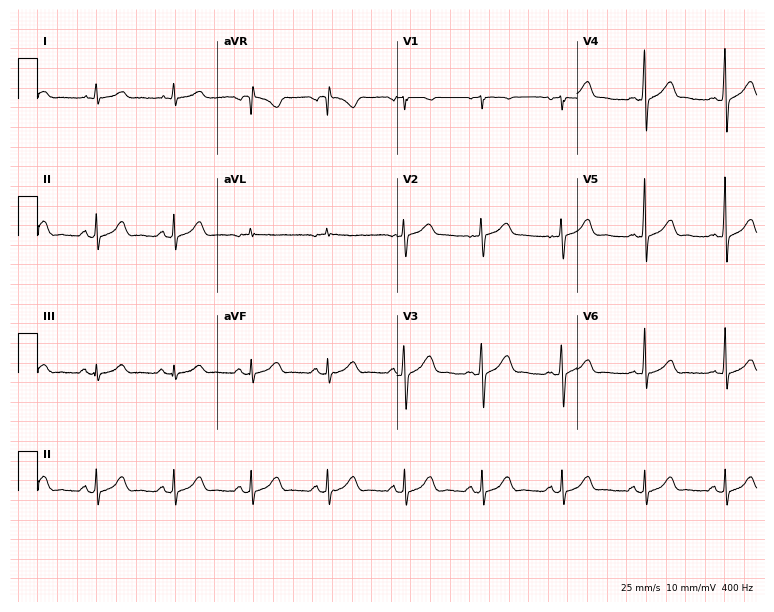
Resting 12-lead electrocardiogram (7.3-second recording at 400 Hz). Patient: a 46-year-old male. Read as a normal ECG.